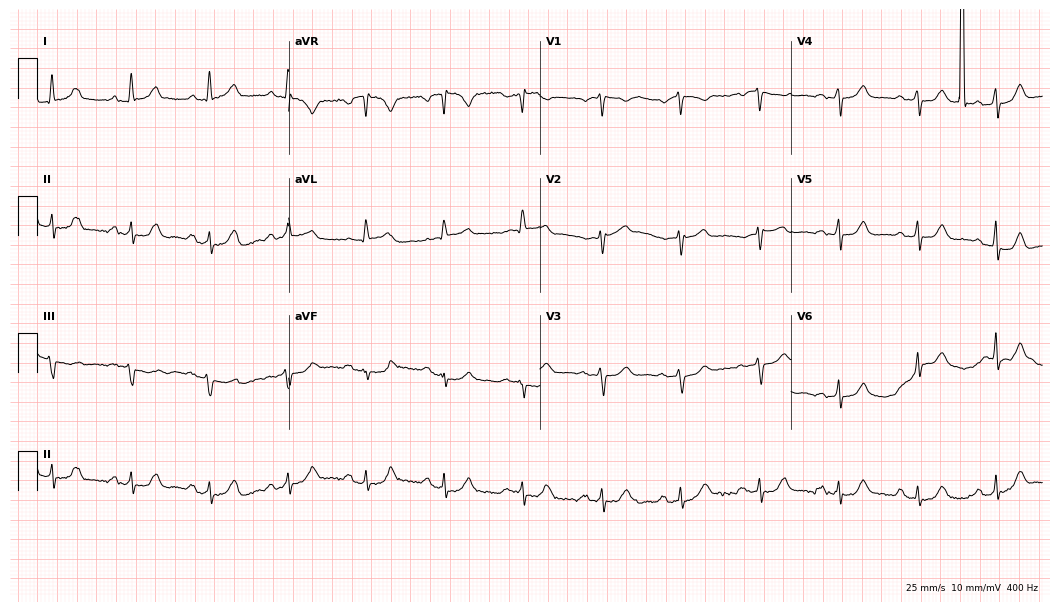
Standard 12-lead ECG recorded from a 77-year-old female patient (10.2-second recording at 400 Hz). Read as a normal ECG.